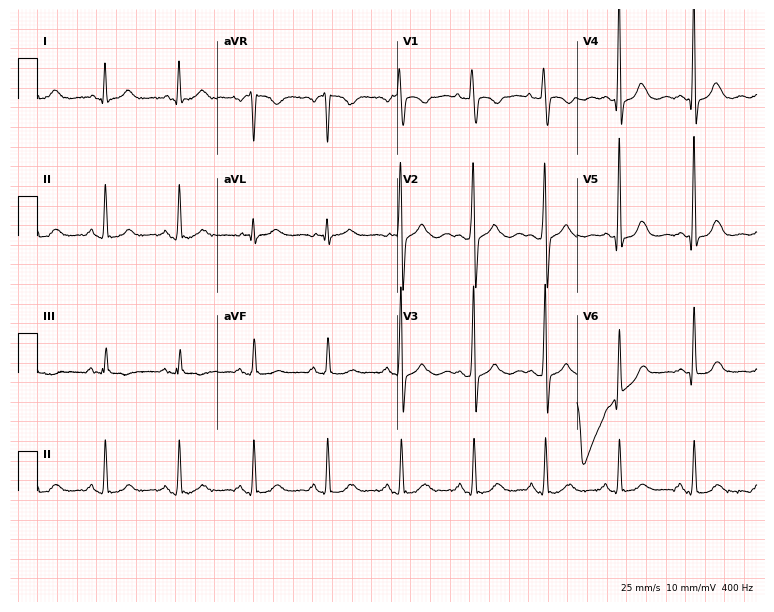
12-lead ECG (7.3-second recording at 400 Hz) from a female, 52 years old. Labelled as a normal ECG.